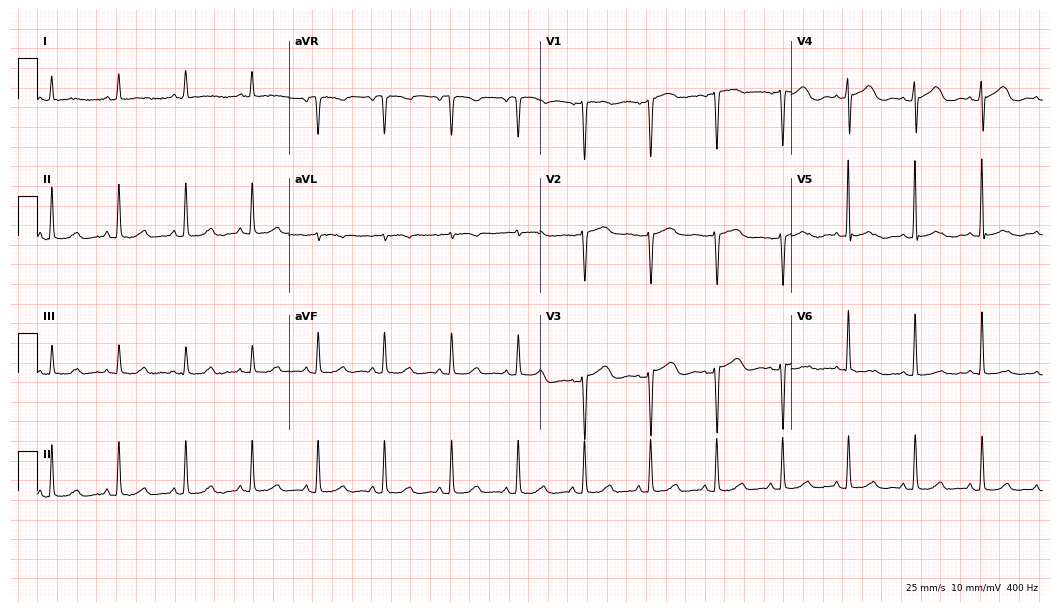
Resting 12-lead electrocardiogram (10.2-second recording at 400 Hz). Patient: a 67-year-old woman. Read as a normal ECG.